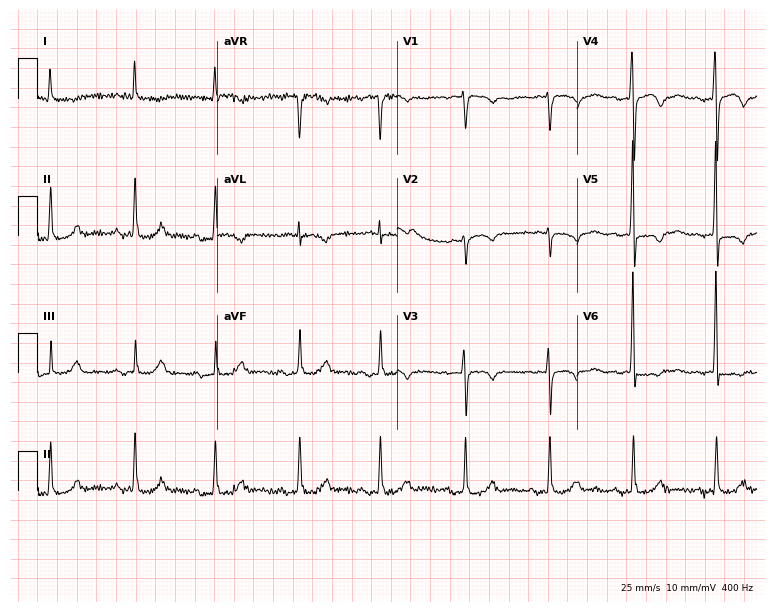
ECG (7.3-second recording at 400 Hz) — a 71-year-old female patient. Screened for six findings — first-degree AV block, right bundle branch block (RBBB), left bundle branch block (LBBB), sinus bradycardia, atrial fibrillation (AF), sinus tachycardia — none is recorded. Other findings, if any, are not listed.